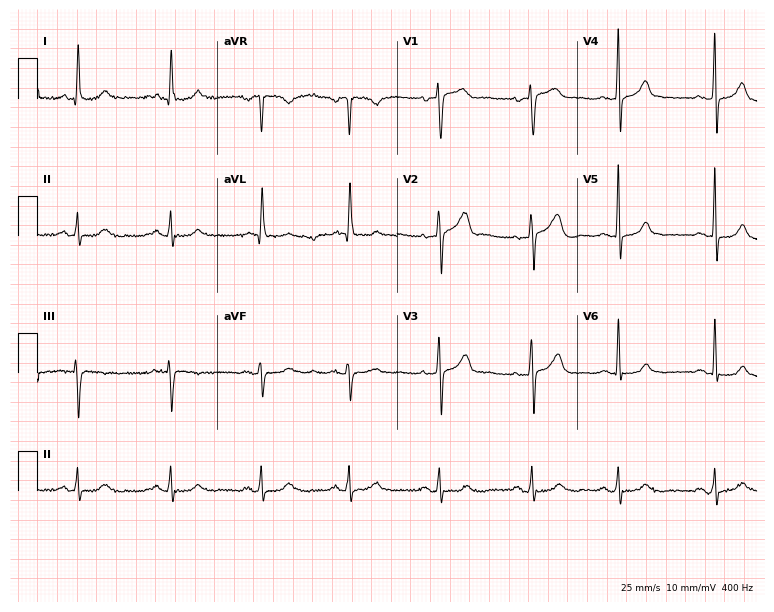
12-lead ECG from a 67-year-old female patient (7.3-second recording at 400 Hz). Recorded interpretation: within normal limits.